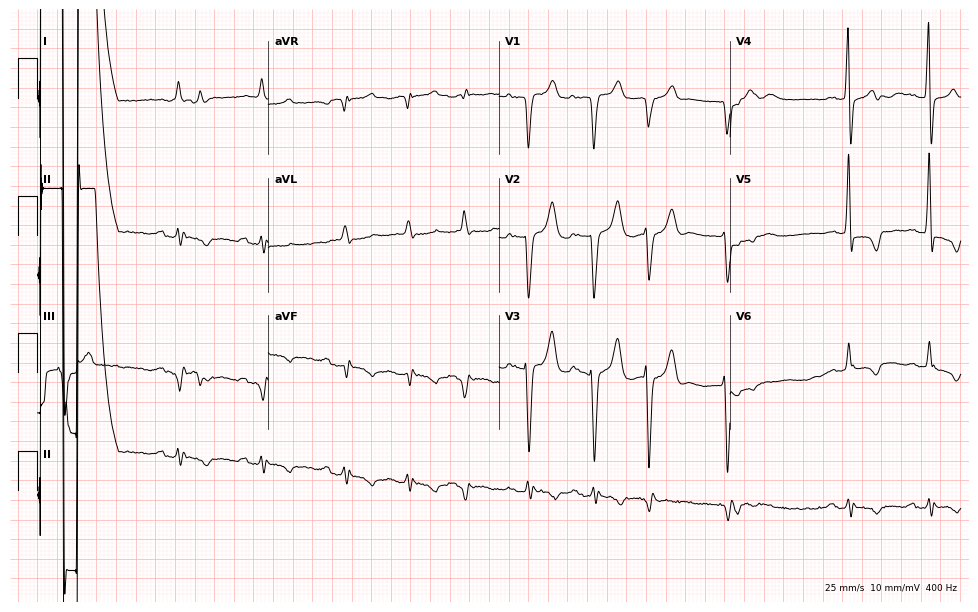
Standard 12-lead ECG recorded from an 83-year-old male patient. None of these six findings is recorded: first-degree AV block, right bundle branch block, left bundle branch block, sinus bradycardia, atrial fibrillation, sinus tachycardia. Only these six findings were labelled.